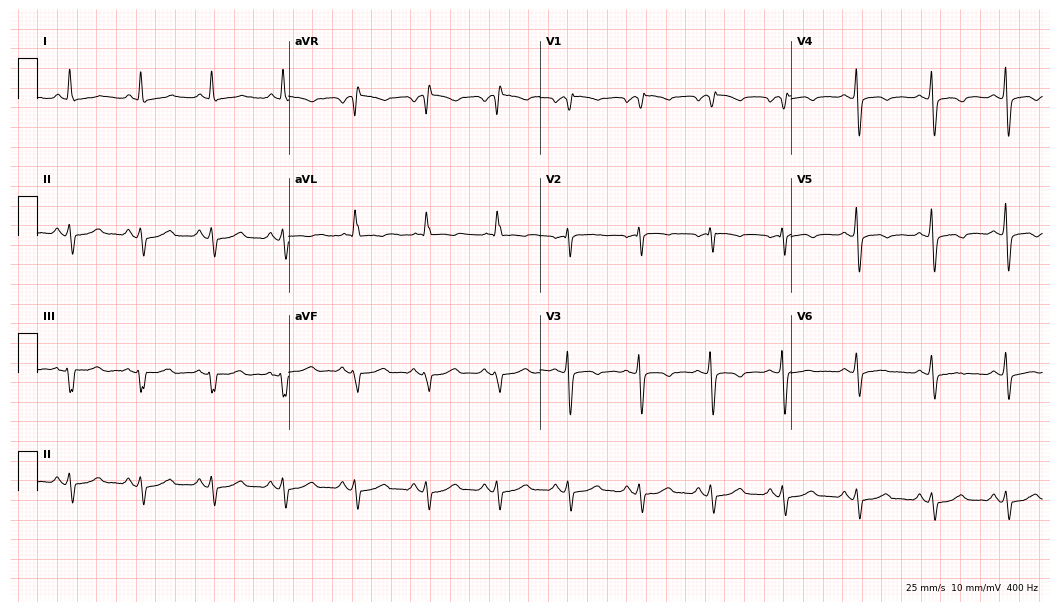
12-lead ECG from a female patient, 64 years old (10.2-second recording at 400 Hz). No first-degree AV block, right bundle branch block (RBBB), left bundle branch block (LBBB), sinus bradycardia, atrial fibrillation (AF) or sinus tachycardia recorded for this tracing. Only these six findings were labelled.